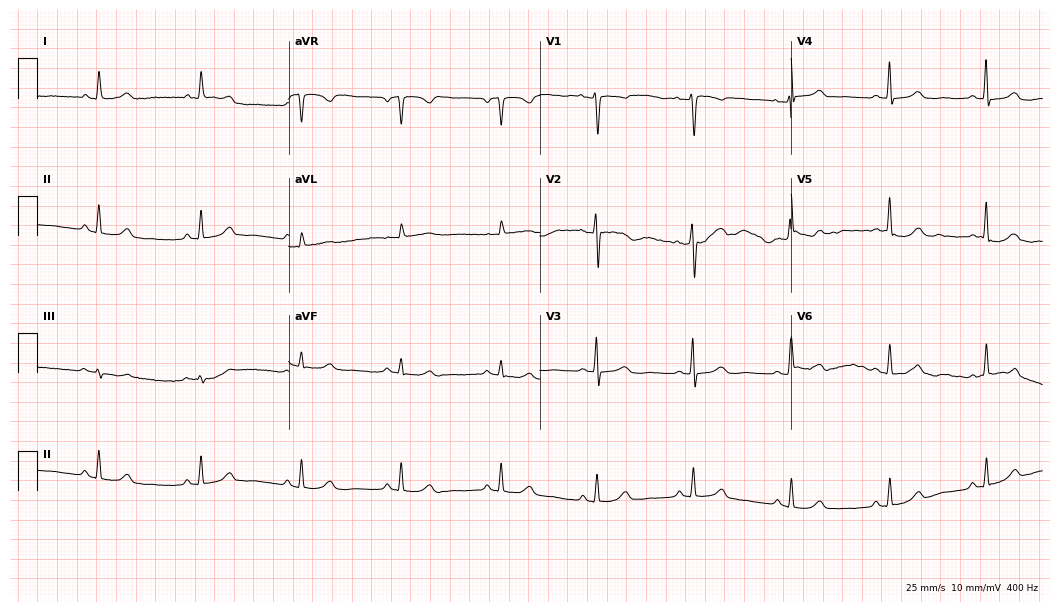
Standard 12-lead ECG recorded from a woman, 79 years old (10.2-second recording at 400 Hz). Read as a normal ECG.